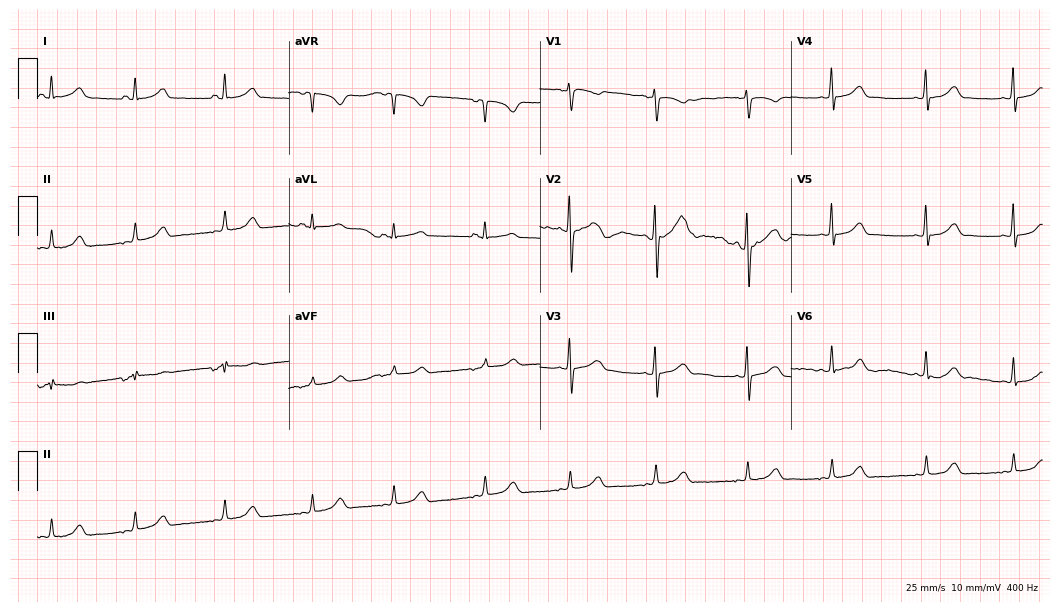
Resting 12-lead electrocardiogram. Patient: a female, 19 years old. Read as a normal ECG.